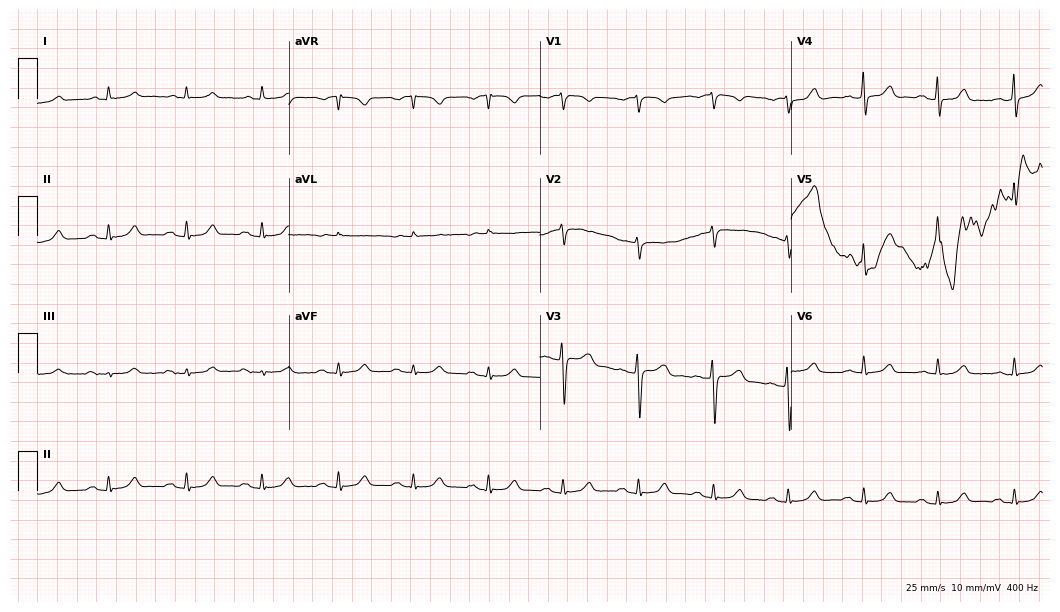
ECG (10.2-second recording at 400 Hz) — a male patient, 83 years old. Screened for six findings — first-degree AV block, right bundle branch block, left bundle branch block, sinus bradycardia, atrial fibrillation, sinus tachycardia — none is recorded. Only these six findings were labelled.